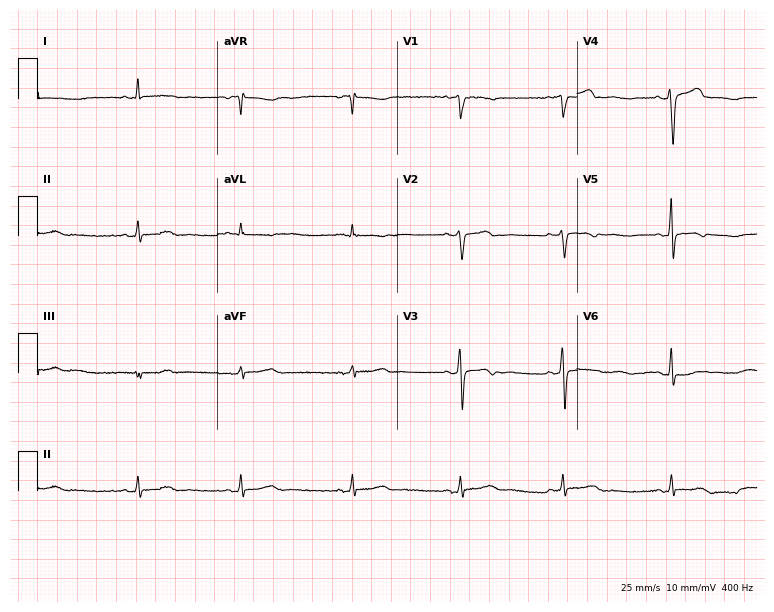
Resting 12-lead electrocardiogram (7.3-second recording at 400 Hz). Patient: a female, 41 years old. None of these six findings is recorded: first-degree AV block, right bundle branch block, left bundle branch block, sinus bradycardia, atrial fibrillation, sinus tachycardia.